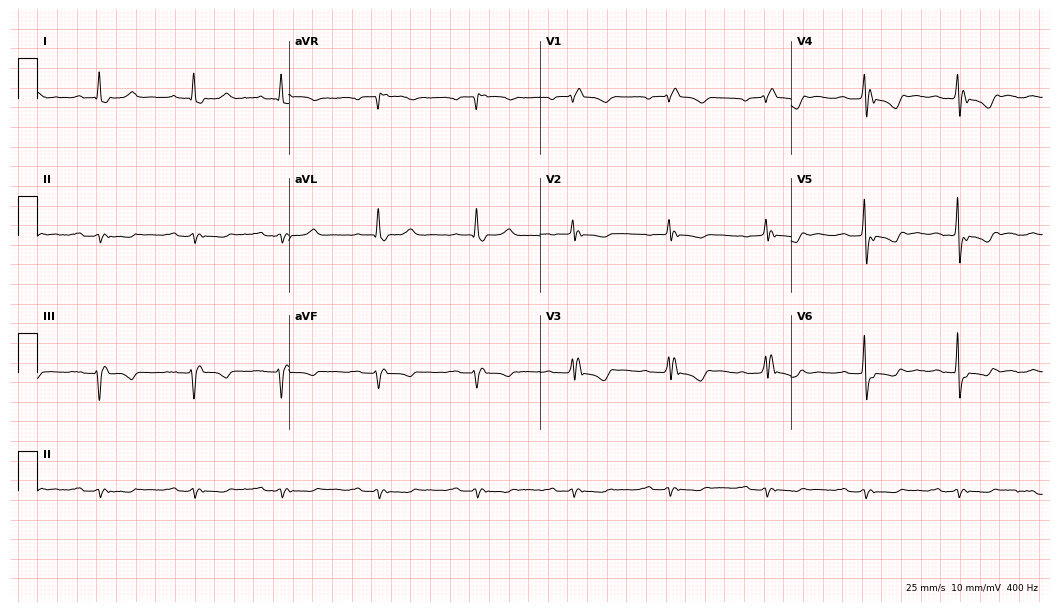
Resting 12-lead electrocardiogram. Patient: an 84-year-old male. The tracing shows first-degree AV block, right bundle branch block.